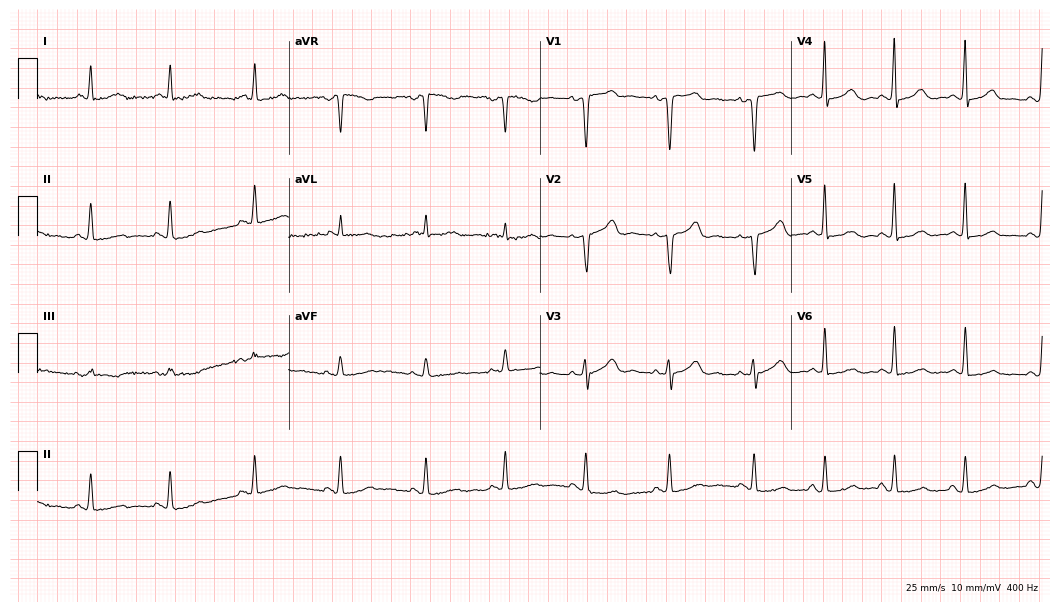
12-lead ECG from a female, 44 years old (10.2-second recording at 400 Hz). No first-degree AV block, right bundle branch block, left bundle branch block, sinus bradycardia, atrial fibrillation or sinus tachycardia recorded for this tracing. Other findings, if any, are not listed.